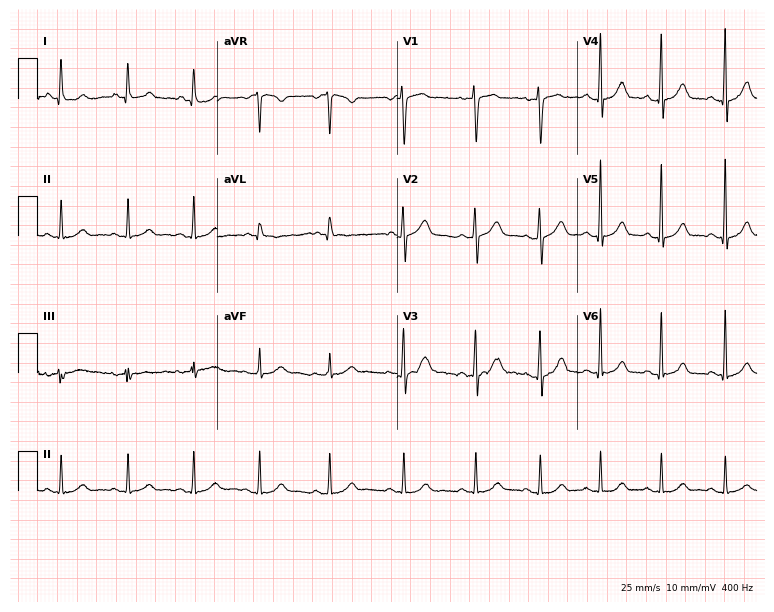
Electrocardiogram, a 33-year-old woman. Of the six screened findings (first-degree AV block, right bundle branch block, left bundle branch block, sinus bradycardia, atrial fibrillation, sinus tachycardia), none is recorded. Findings outside these six are not listed.